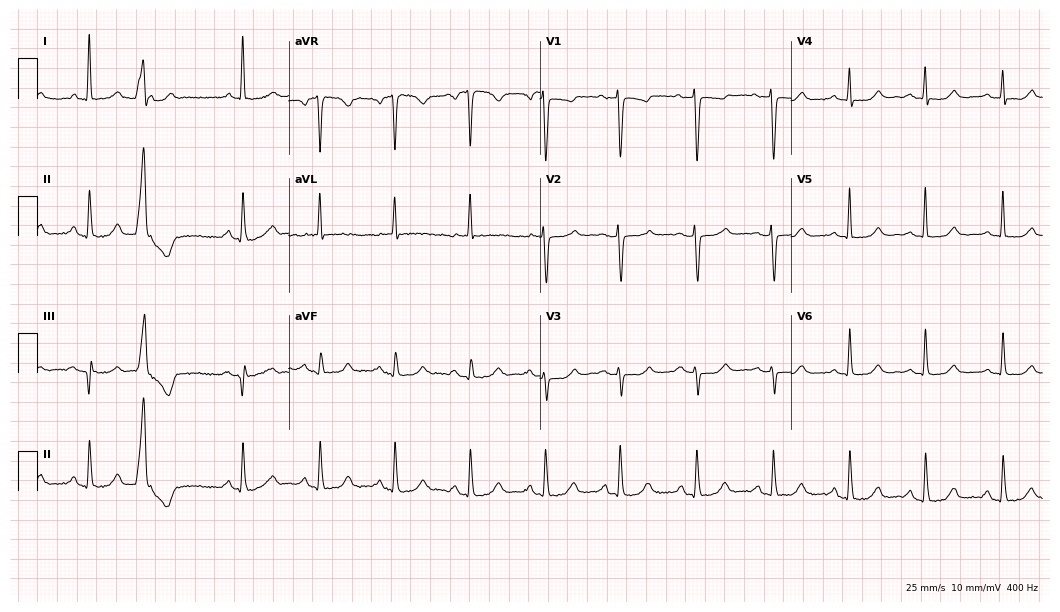
Resting 12-lead electrocardiogram (10.2-second recording at 400 Hz). Patient: a female, 68 years old. None of these six findings is recorded: first-degree AV block, right bundle branch block (RBBB), left bundle branch block (LBBB), sinus bradycardia, atrial fibrillation (AF), sinus tachycardia.